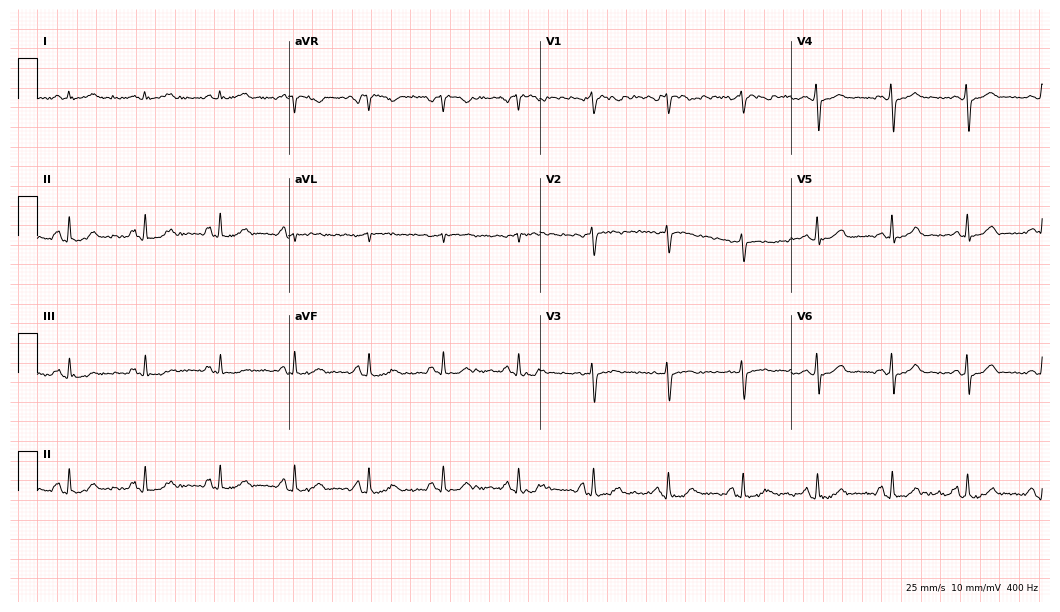
12-lead ECG from a 46-year-old female patient. No first-degree AV block, right bundle branch block, left bundle branch block, sinus bradycardia, atrial fibrillation or sinus tachycardia recorded for this tracing. Only these six findings were labelled.